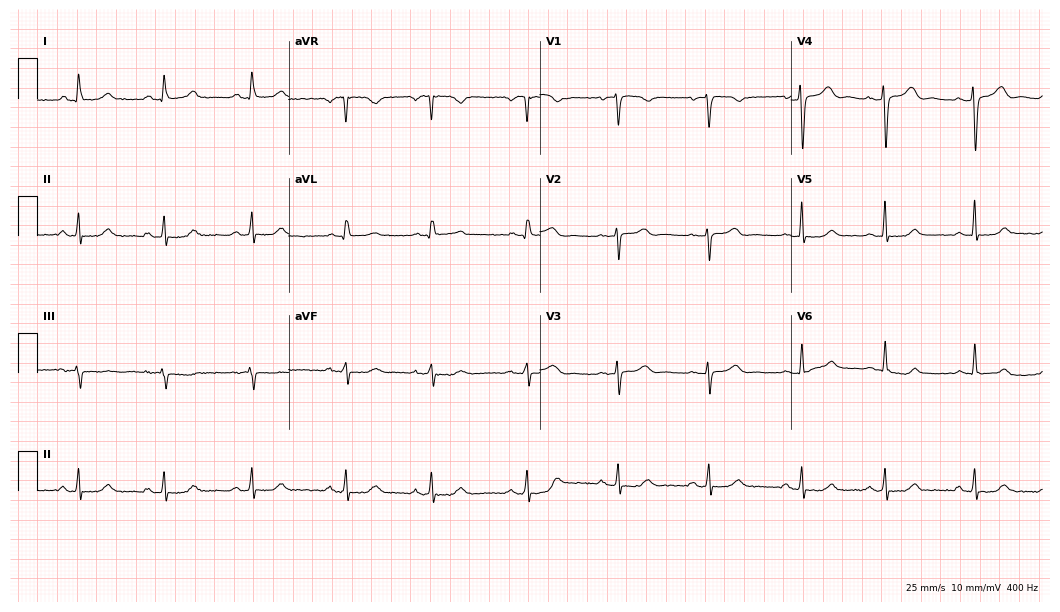
12-lead ECG (10.2-second recording at 400 Hz) from a woman, 32 years old. Labelled as a normal ECG.